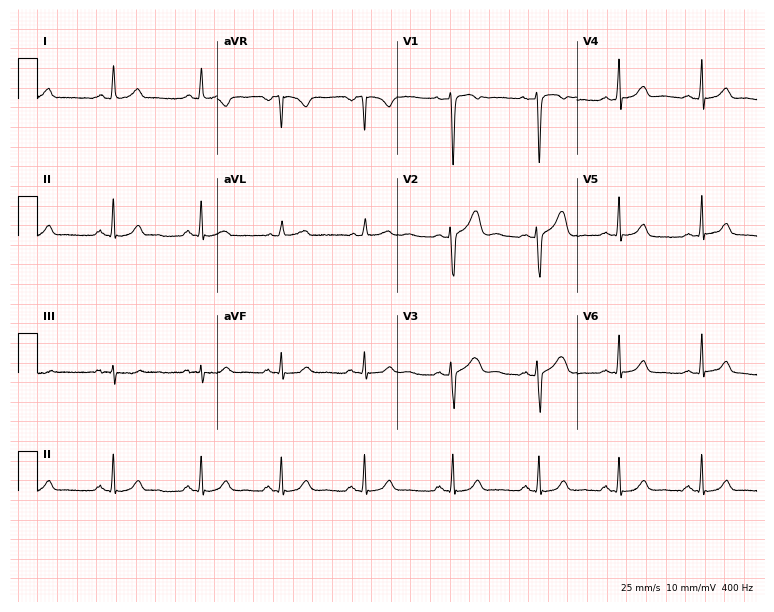
Resting 12-lead electrocardiogram. Patient: a 20-year-old woman. Read as a normal ECG.